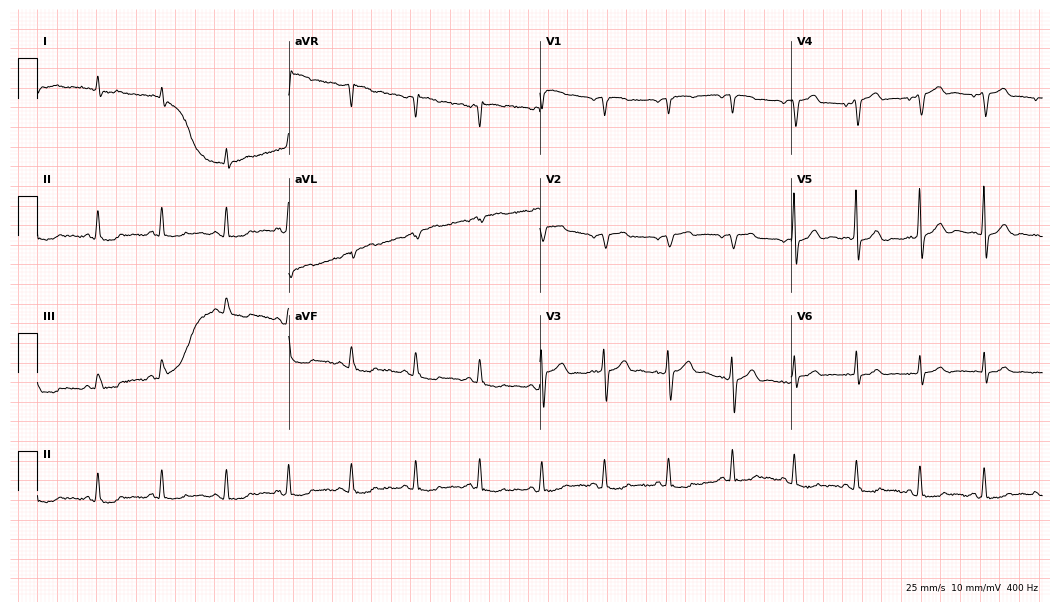
Standard 12-lead ECG recorded from a man, 72 years old. None of these six findings is recorded: first-degree AV block, right bundle branch block (RBBB), left bundle branch block (LBBB), sinus bradycardia, atrial fibrillation (AF), sinus tachycardia.